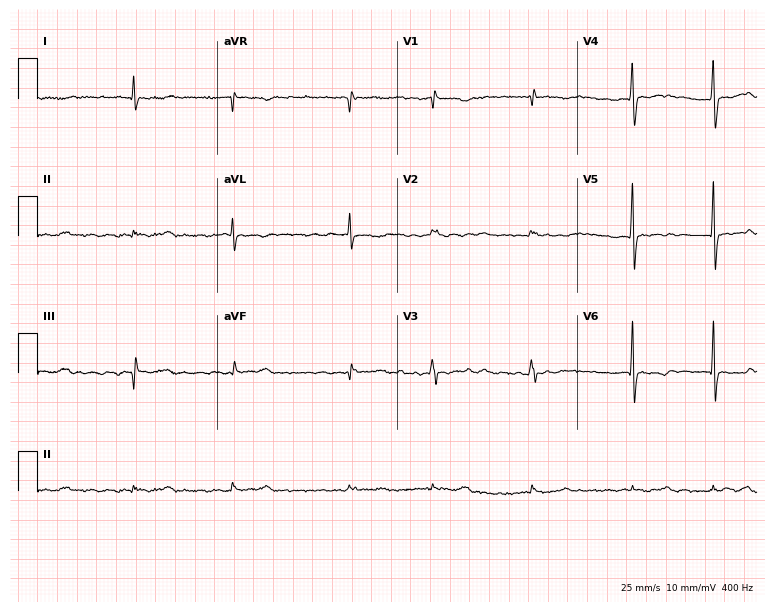
ECG (7.3-second recording at 400 Hz) — a male, 51 years old. Screened for six findings — first-degree AV block, right bundle branch block (RBBB), left bundle branch block (LBBB), sinus bradycardia, atrial fibrillation (AF), sinus tachycardia — none is recorded.